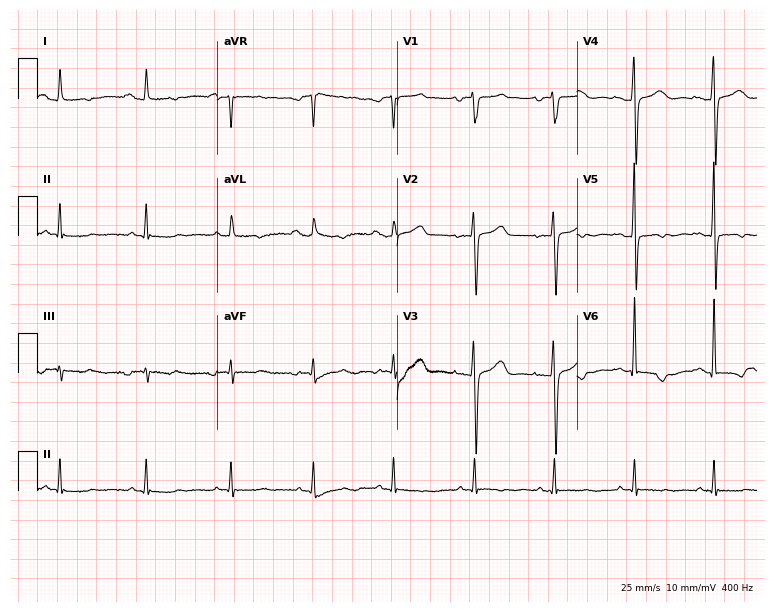
ECG — a 69-year-old female. Screened for six findings — first-degree AV block, right bundle branch block, left bundle branch block, sinus bradycardia, atrial fibrillation, sinus tachycardia — none is recorded. Only these six findings were labelled.